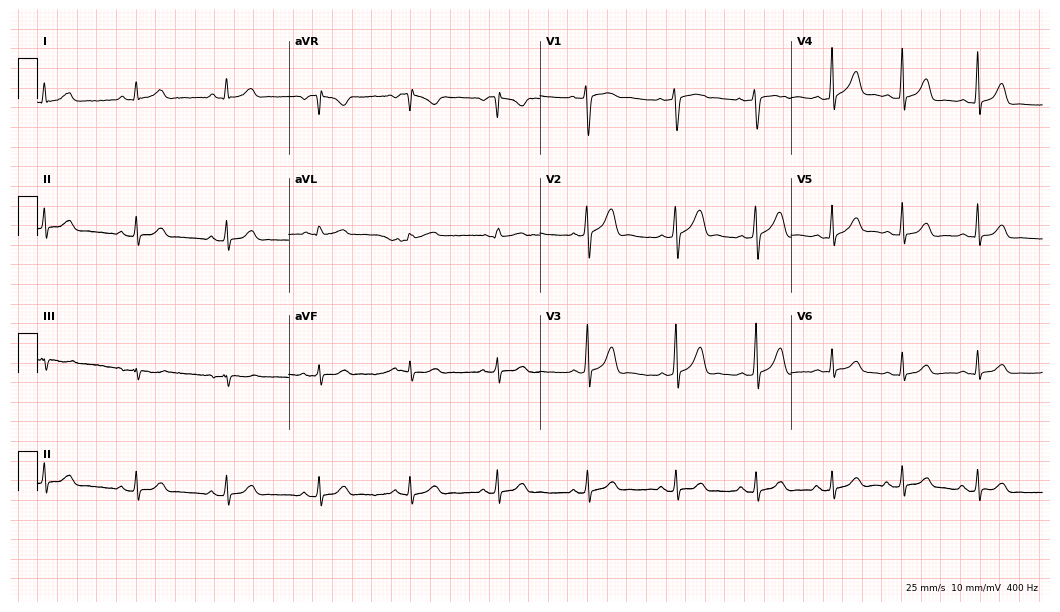
Resting 12-lead electrocardiogram. Patient: a 25-year-old woman. Read as a normal ECG.